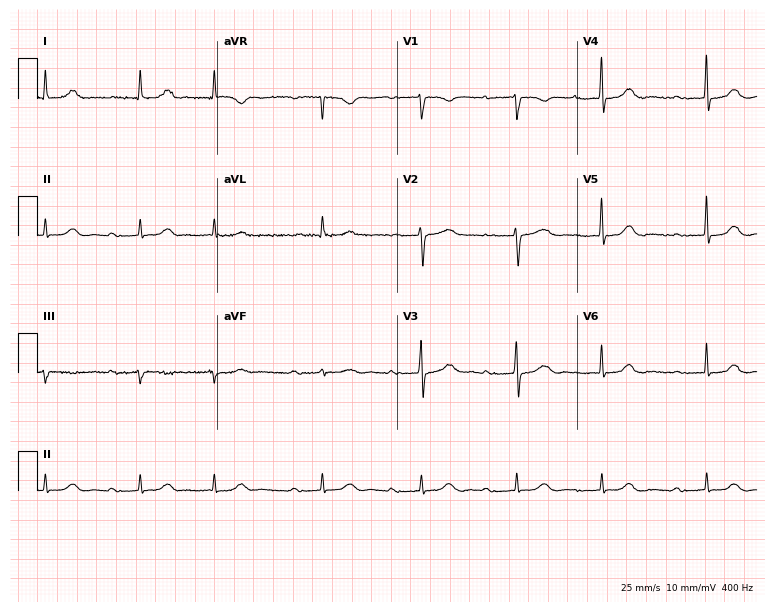
Electrocardiogram (7.3-second recording at 400 Hz), a woman, 82 years old. Interpretation includes first-degree AV block.